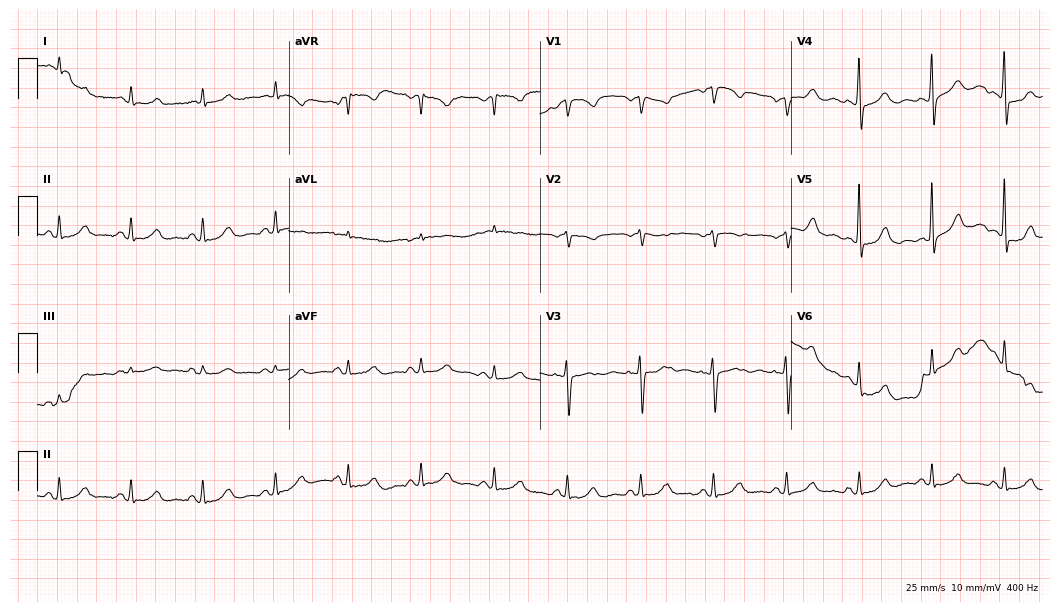
12-lead ECG from an 82-year-old female (10.2-second recording at 400 Hz). No first-degree AV block, right bundle branch block, left bundle branch block, sinus bradycardia, atrial fibrillation or sinus tachycardia recorded for this tracing.